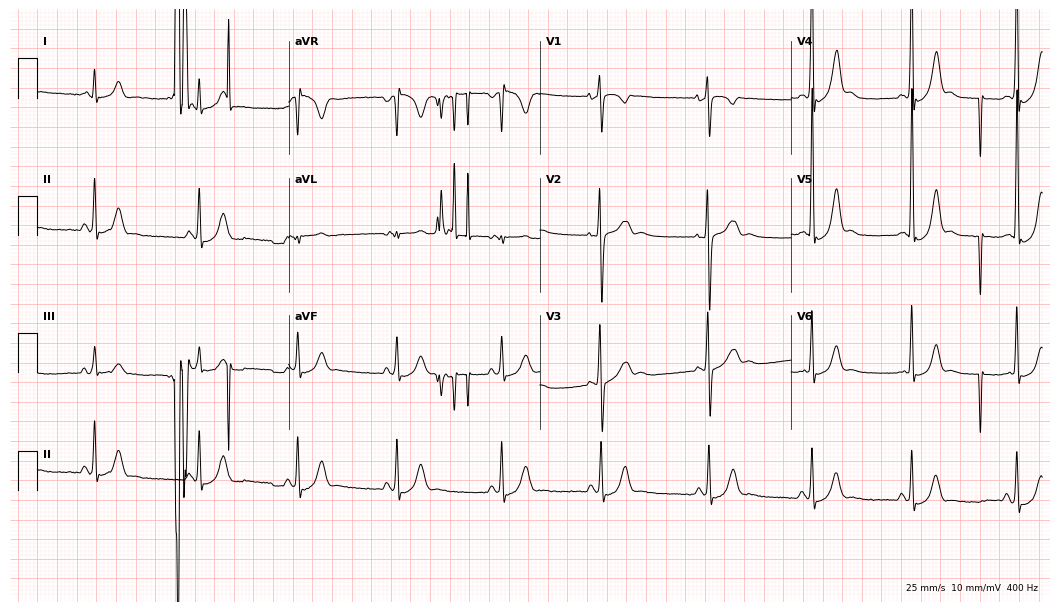
12-lead ECG from an 18-year-old male patient. No first-degree AV block, right bundle branch block (RBBB), left bundle branch block (LBBB), sinus bradycardia, atrial fibrillation (AF) or sinus tachycardia recorded for this tracing.